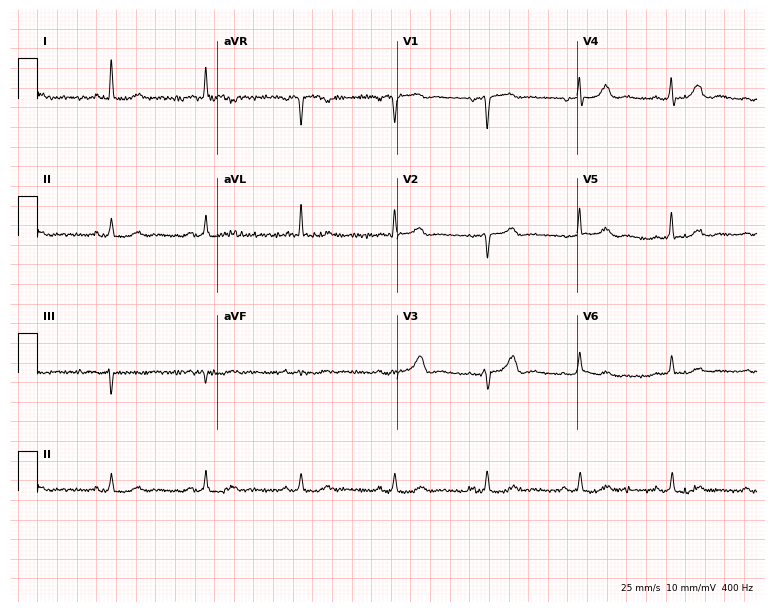
12-lead ECG (7.3-second recording at 400 Hz) from a 72-year-old male. Screened for six findings — first-degree AV block, right bundle branch block, left bundle branch block, sinus bradycardia, atrial fibrillation, sinus tachycardia — none is recorded. Other findings, if any, are not listed.